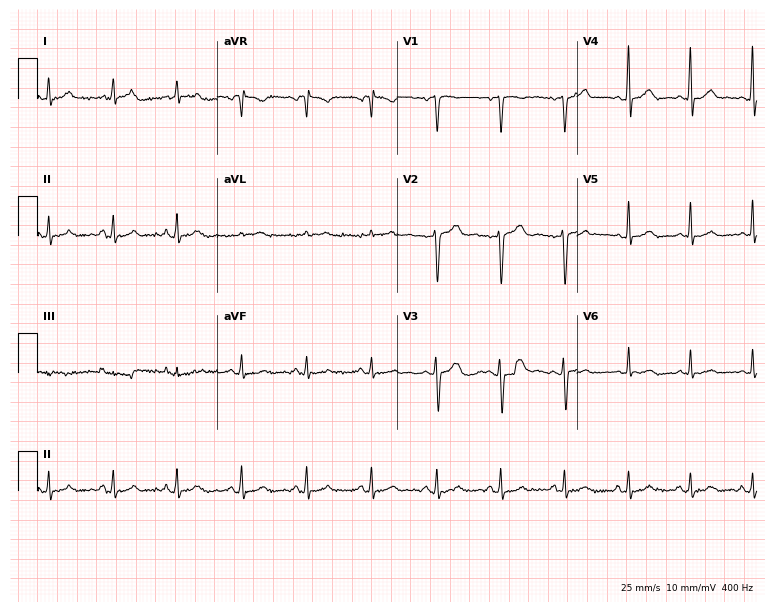
ECG — a 30-year-old male. Labelled as a normal ECG.